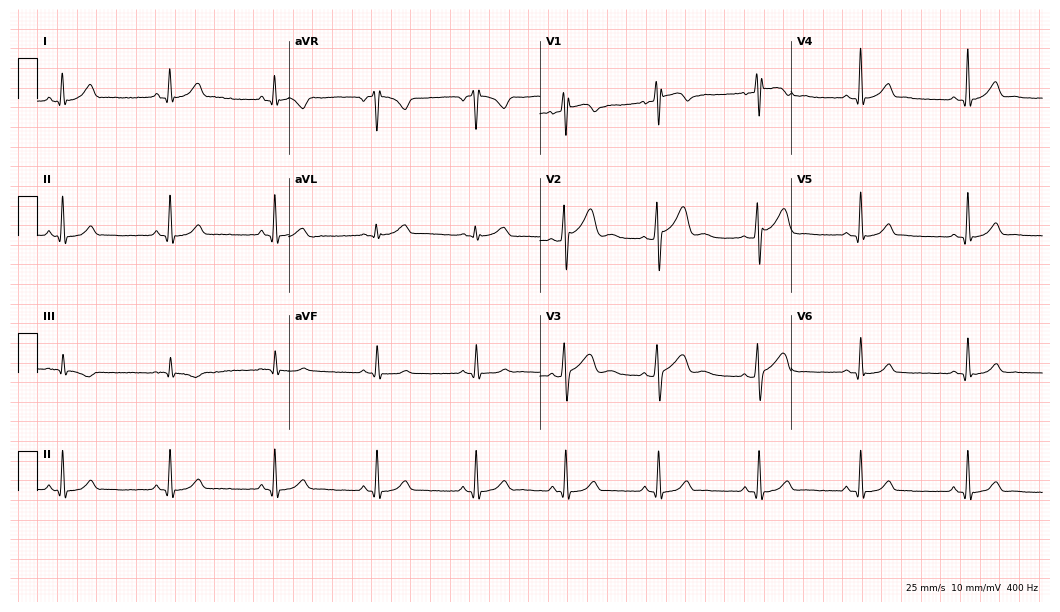
Standard 12-lead ECG recorded from a male, 33 years old (10.2-second recording at 400 Hz). Read as a normal ECG.